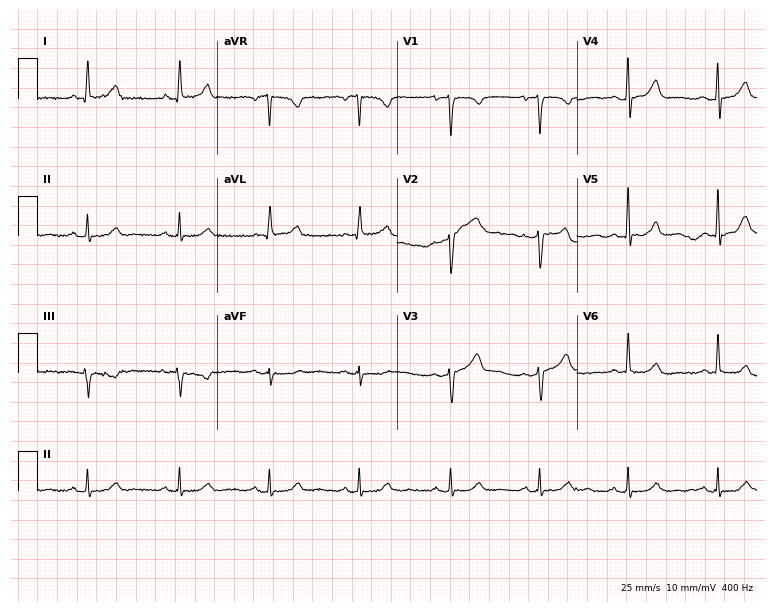
12-lead ECG (7.3-second recording at 400 Hz) from a female patient, 38 years old. Screened for six findings — first-degree AV block, right bundle branch block, left bundle branch block, sinus bradycardia, atrial fibrillation, sinus tachycardia — none is recorded. Only these six findings were labelled.